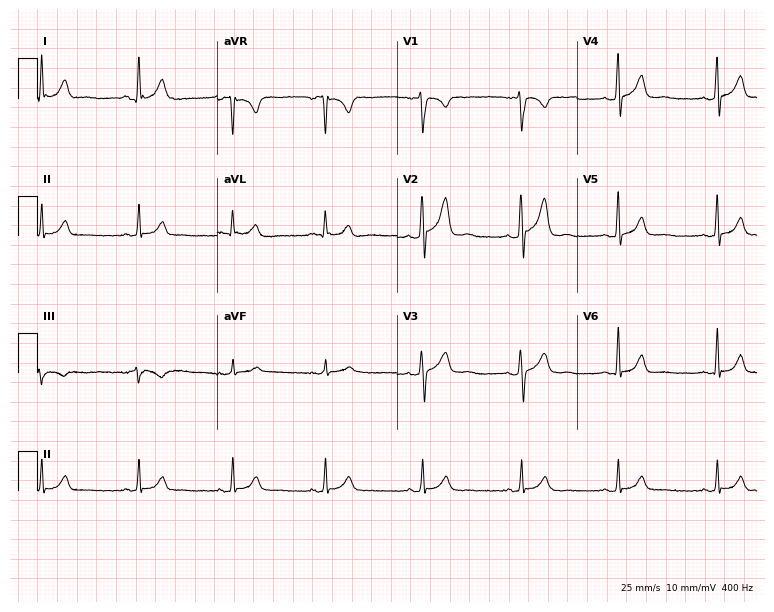
Resting 12-lead electrocardiogram (7.3-second recording at 400 Hz). Patient: a female, 46 years old. None of these six findings is recorded: first-degree AV block, right bundle branch block (RBBB), left bundle branch block (LBBB), sinus bradycardia, atrial fibrillation (AF), sinus tachycardia.